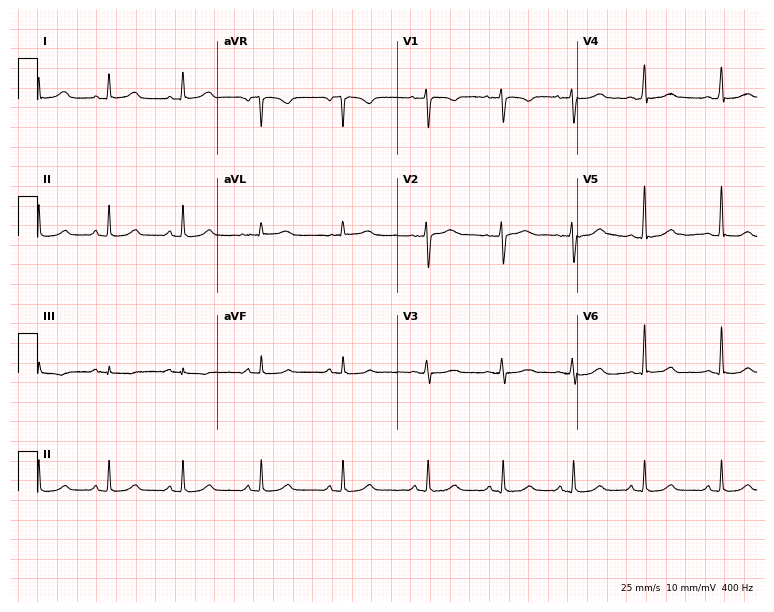
12-lead ECG (7.3-second recording at 400 Hz) from a 43-year-old female. Screened for six findings — first-degree AV block, right bundle branch block, left bundle branch block, sinus bradycardia, atrial fibrillation, sinus tachycardia — none is recorded. Only these six findings were labelled.